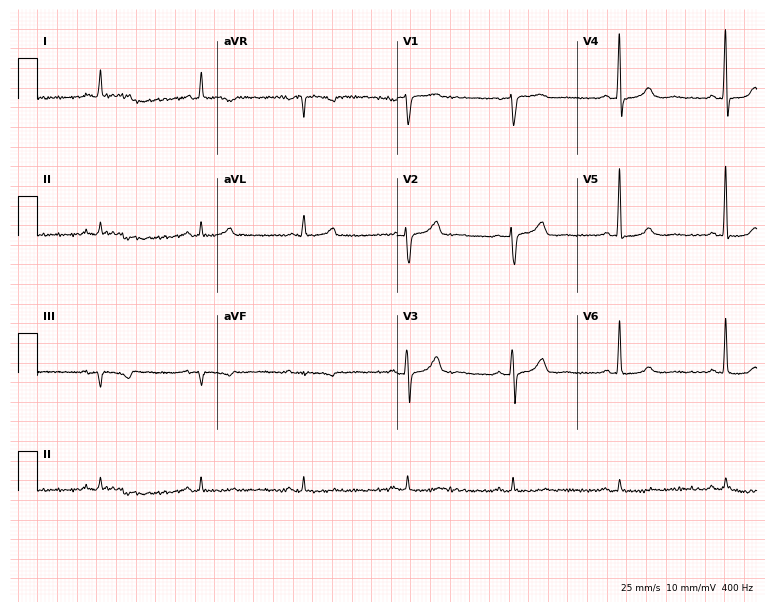
Resting 12-lead electrocardiogram (7.3-second recording at 400 Hz). Patient: a male, 64 years old. None of these six findings is recorded: first-degree AV block, right bundle branch block (RBBB), left bundle branch block (LBBB), sinus bradycardia, atrial fibrillation (AF), sinus tachycardia. Findings outside these six are not listed.